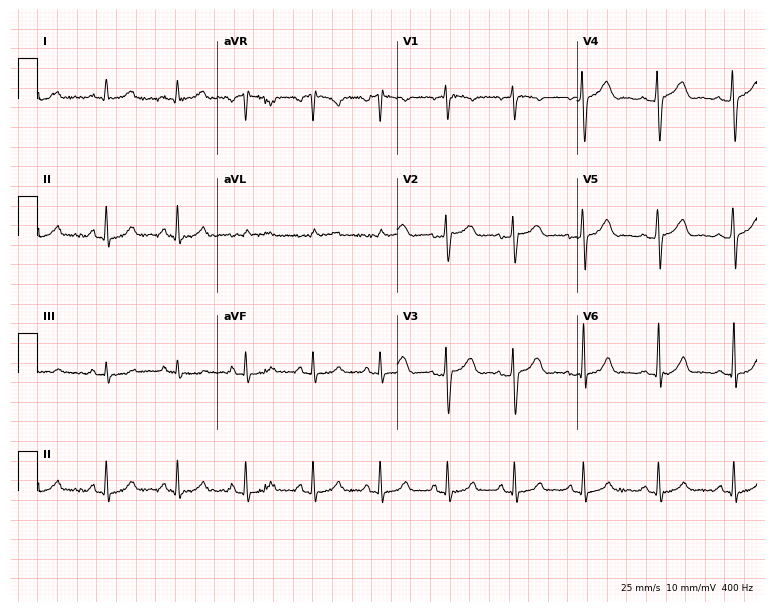
Standard 12-lead ECG recorded from a female patient, 21 years old. Read as a normal ECG.